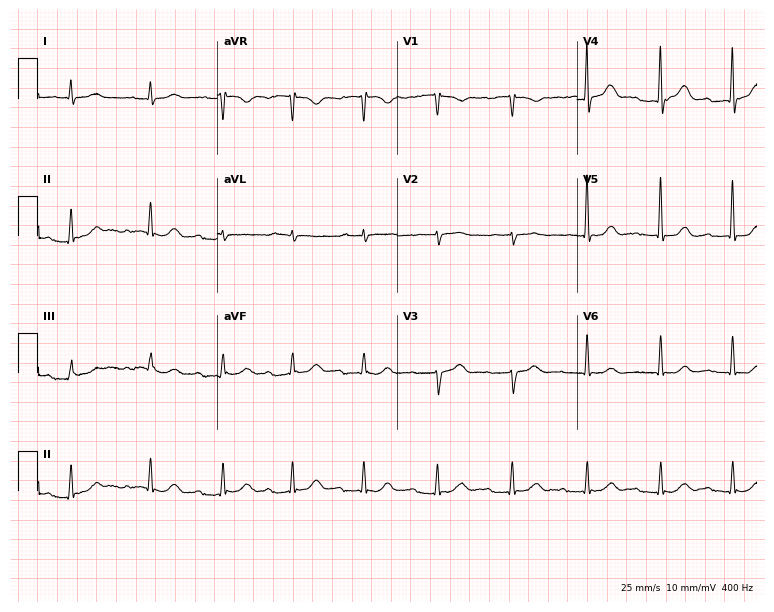
Standard 12-lead ECG recorded from a 62-year-old male (7.3-second recording at 400 Hz). The tracing shows first-degree AV block.